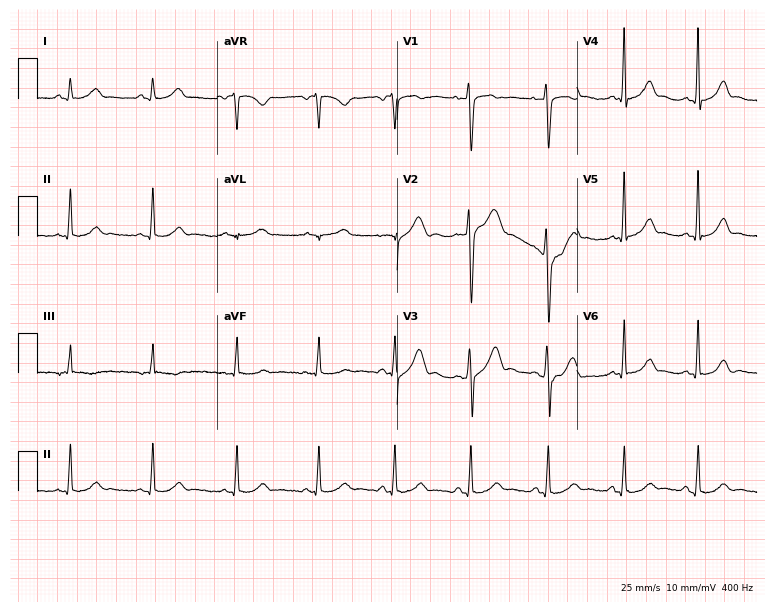
ECG (7.3-second recording at 400 Hz) — a female patient, 35 years old. Screened for six findings — first-degree AV block, right bundle branch block (RBBB), left bundle branch block (LBBB), sinus bradycardia, atrial fibrillation (AF), sinus tachycardia — none is recorded. Only these six findings were labelled.